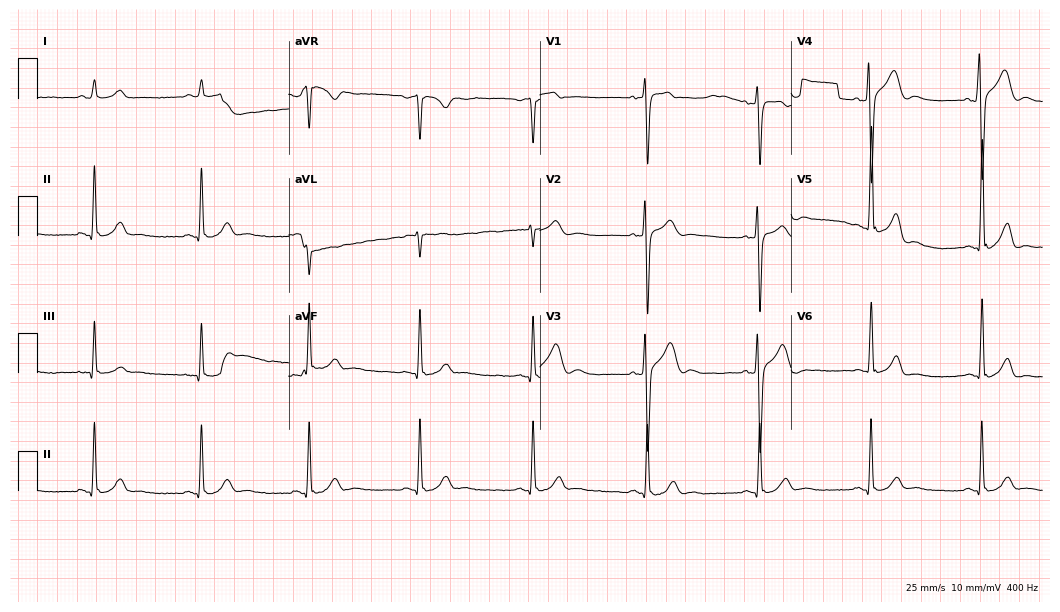
ECG — a 47-year-old male. Screened for six findings — first-degree AV block, right bundle branch block, left bundle branch block, sinus bradycardia, atrial fibrillation, sinus tachycardia — none is recorded. Findings outside these six are not listed.